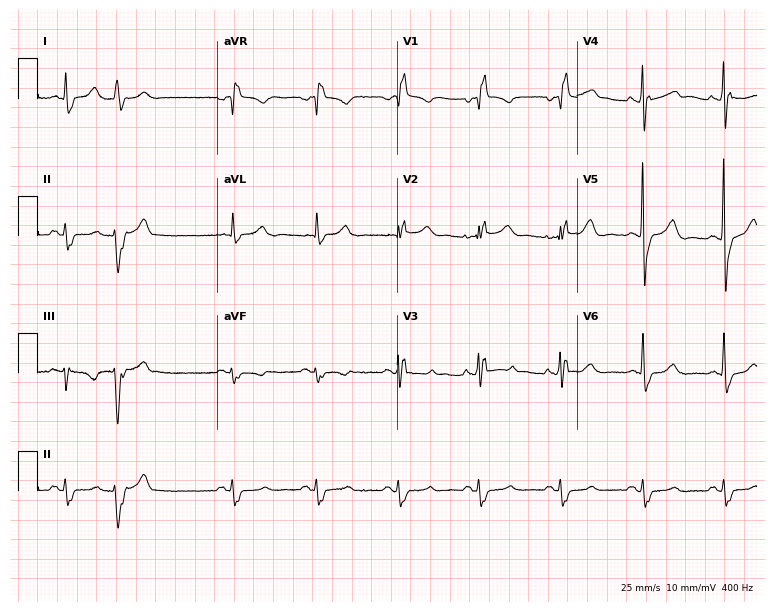
Electrocardiogram, a male, 76 years old. Interpretation includes right bundle branch block.